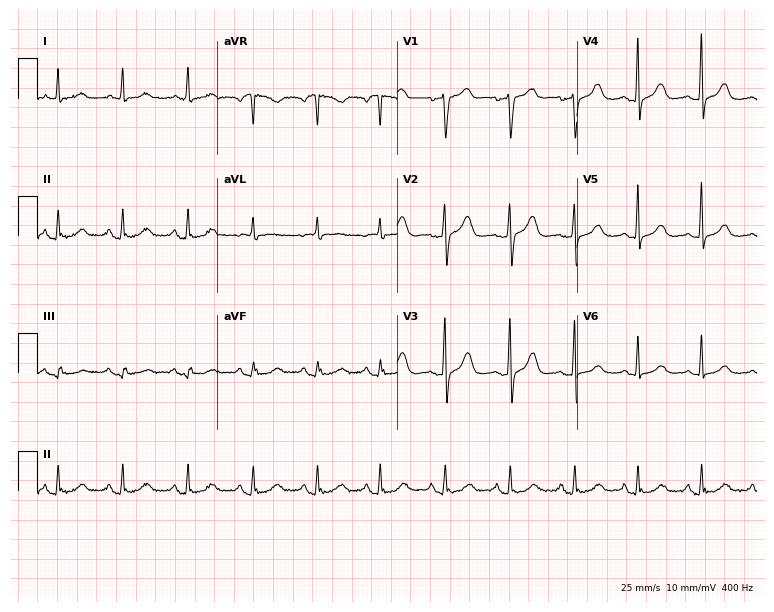
12-lead ECG from a female, 81 years old (7.3-second recording at 400 Hz). Recorded interpretation: within normal limits.